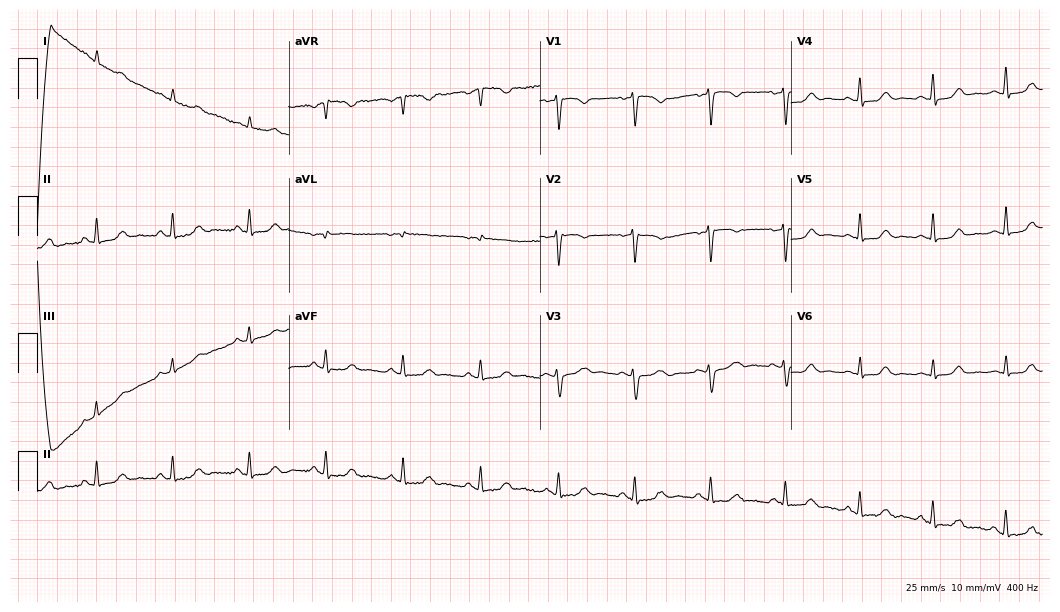
Resting 12-lead electrocardiogram. Patient: a 45-year-old woman. None of these six findings is recorded: first-degree AV block, right bundle branch block, left bundle branch block, sinus bradycardia, atrial fibrillation, sinus tachycardia.